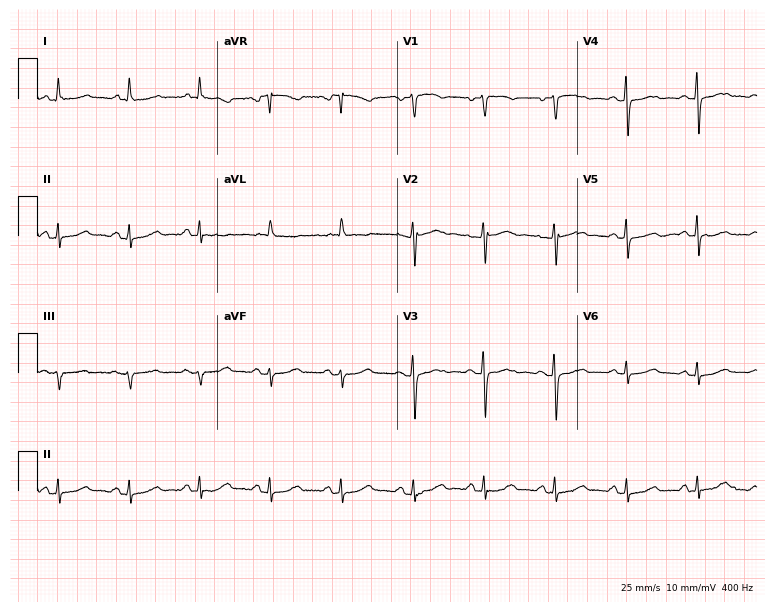
Electrocardiogram, a female patient, 64 years old. Overall reading on record: normal ECG.